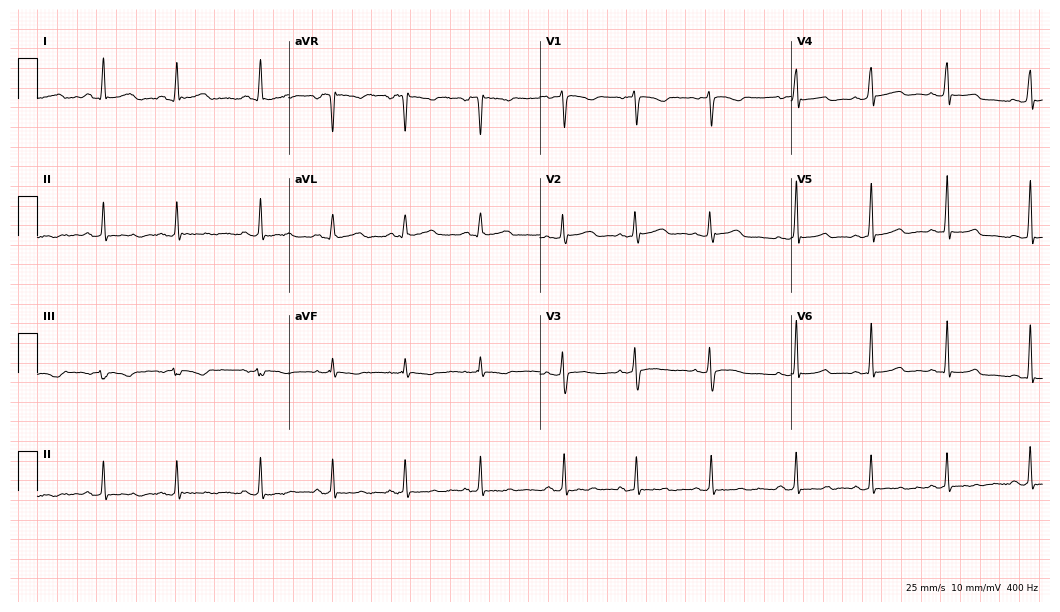
12-lead ECG from a female patient, 33 years old (10.2-second recording at 400 Hz). Recorded interpretation: within normal limits.